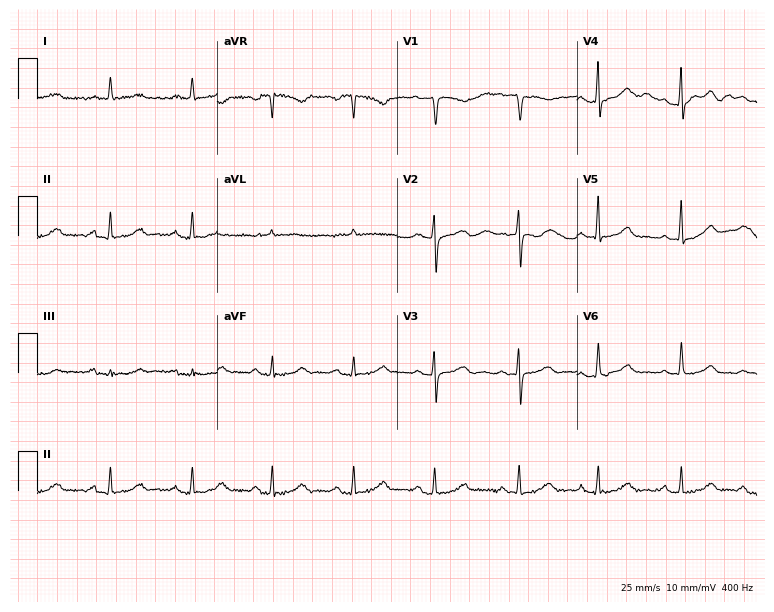
12-lead ECG from a female patient, 68 years old (7.3-second recording at 400 Hz). Recorded interpretation: within normal limits.